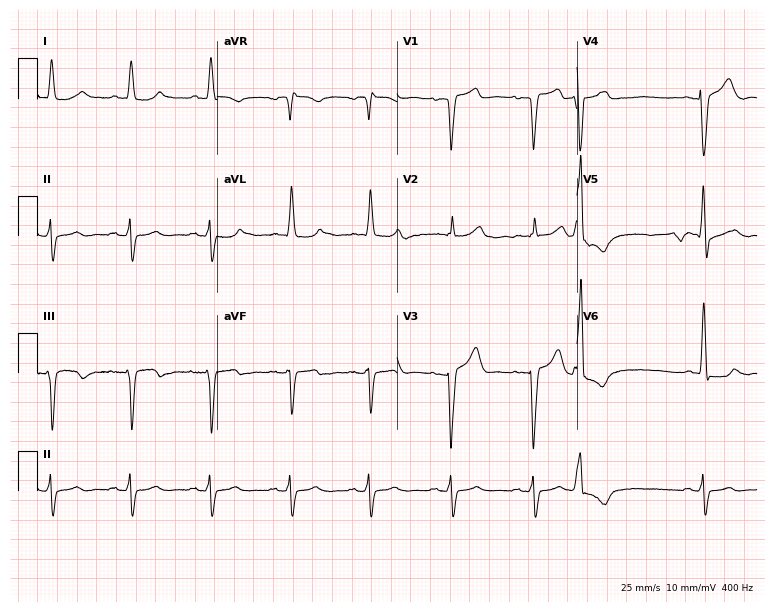
12-lead ECG from a 71-year-old male. Screened for six findings — first-degree AV block, right bundle branch block, left bundle branch block, sinus bradycardia, atrial fibrillation, sinus tachycardia — none is recorded. Findings outside these six are not listed.